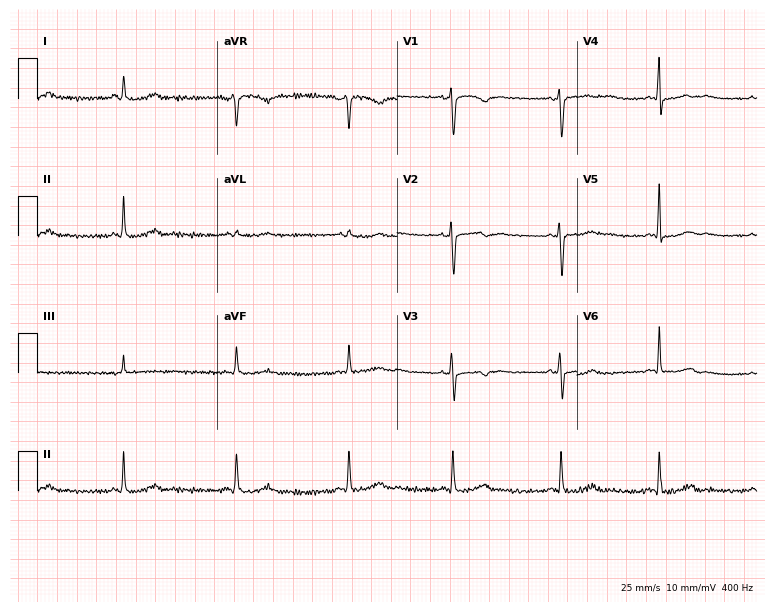
ECG (7.3-second recording at 400 Hz) — a 42-year-old female. Screened for six findings — first-degree AV block, right bundle branch block, left bundle branch block, sinus bradycardia, atrial fibrillation, sinus tachycardia — none is recorded.